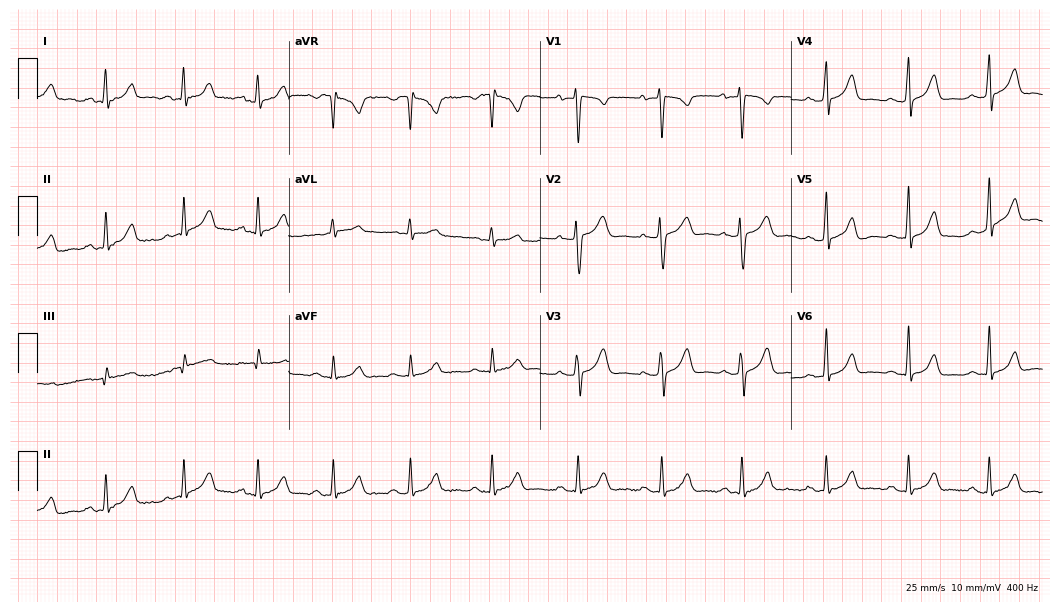
Electrocardiogram, a 32-year-old woman. Overall reading on record: normal ECG.